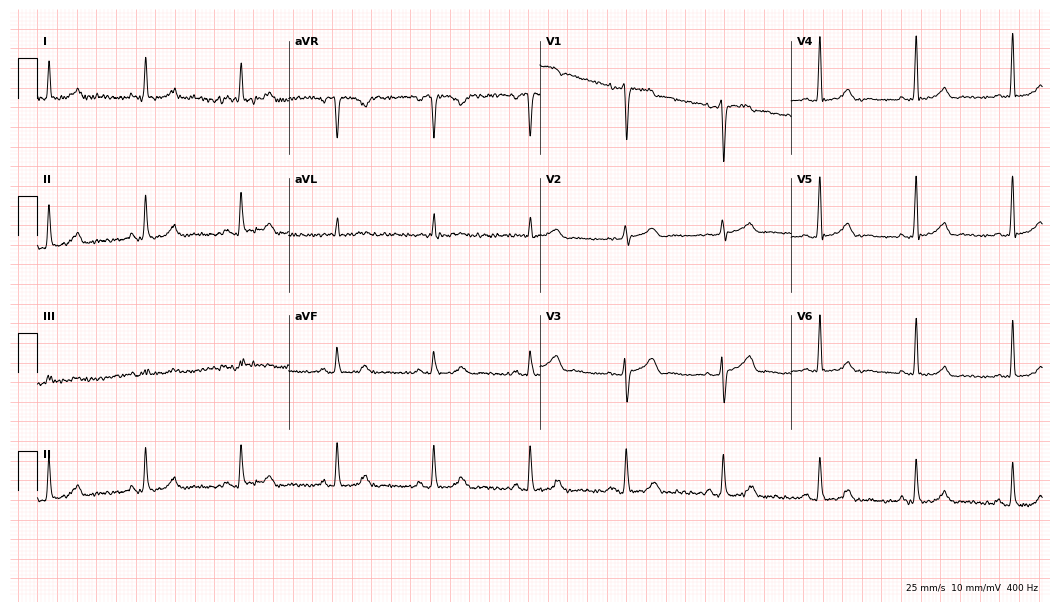
Electrocardiogram (10.2-second recording at 400 Hz), a male patient, 83 years old. Of the six screened findings (first-degree AV block, right bundle branch block, left bundle branch block, sinus bradycardia, atrial fibrillation, sinus tachycardia), none is recorded.